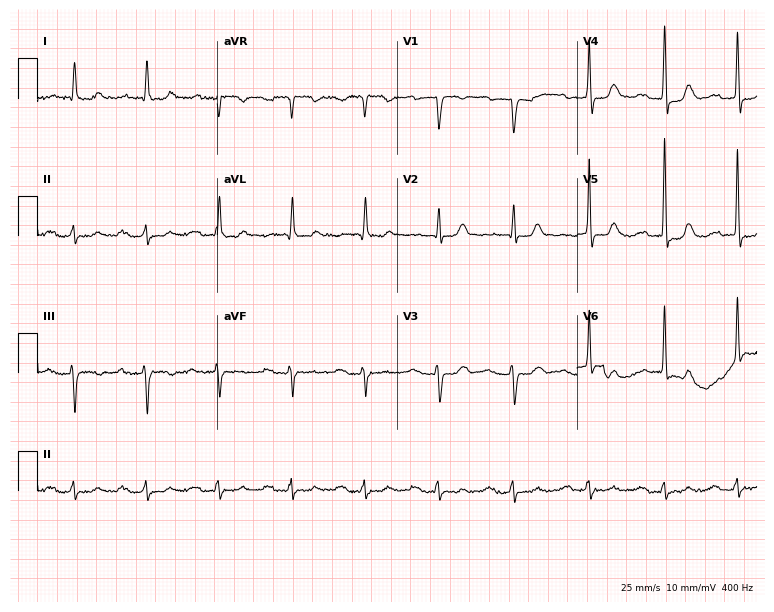
Electrocardiogram (7.3-second recording at 400 Hz), a woman, 83 years old. Interpretation includes first-degree AV block.